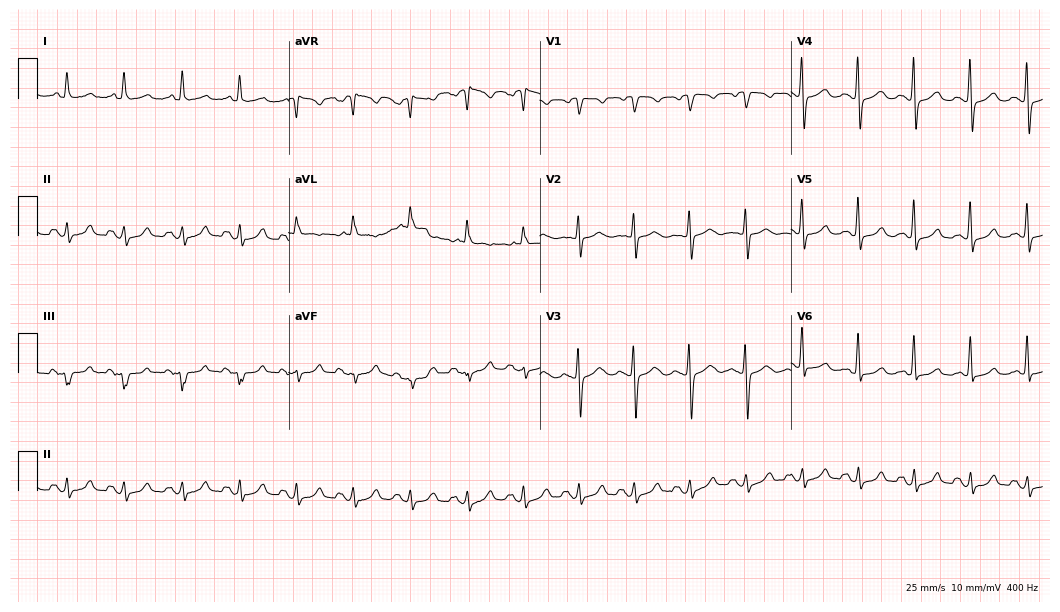
ECG — a 65-year-old female patient. Findings include sinus tachycardia (a sinus rate of 100 beats per minute or more).